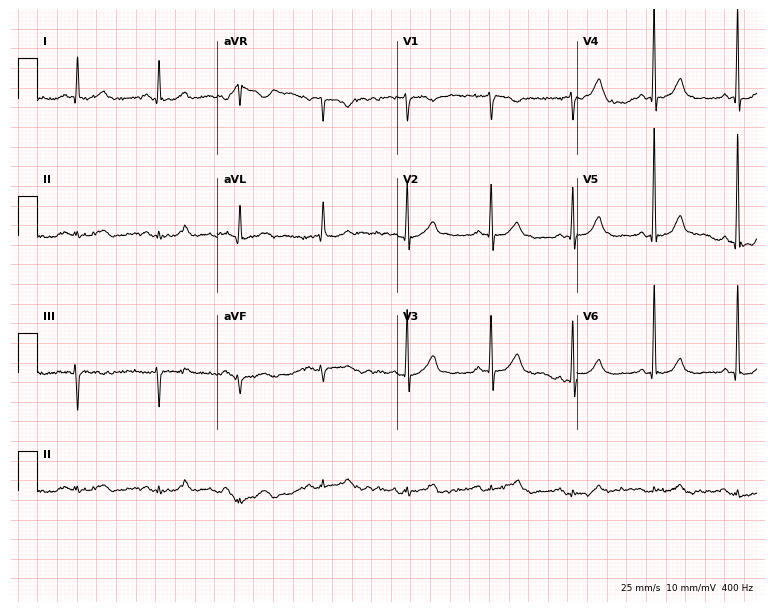
Electrocardiogram (7.3-second recording at 400 Hz), an 80-year-old male. Of the six screened findings (first-degree AV block, right bundle branch block, left bundle branch block, sinus bradycardia, atrial fibrillation, sinus tachycardia), none is recorded. Other findings, if any, are not listed.